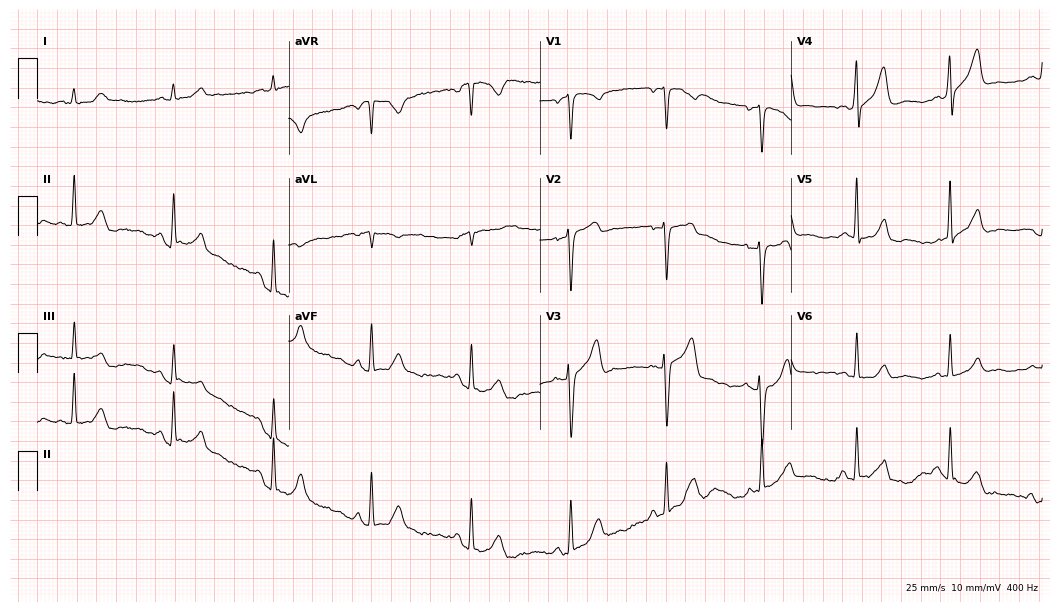
Electrocardiogram (10.2-second recording at 400 Hz), a 63-year-old male patient. Overall reading on record: normal ECG.